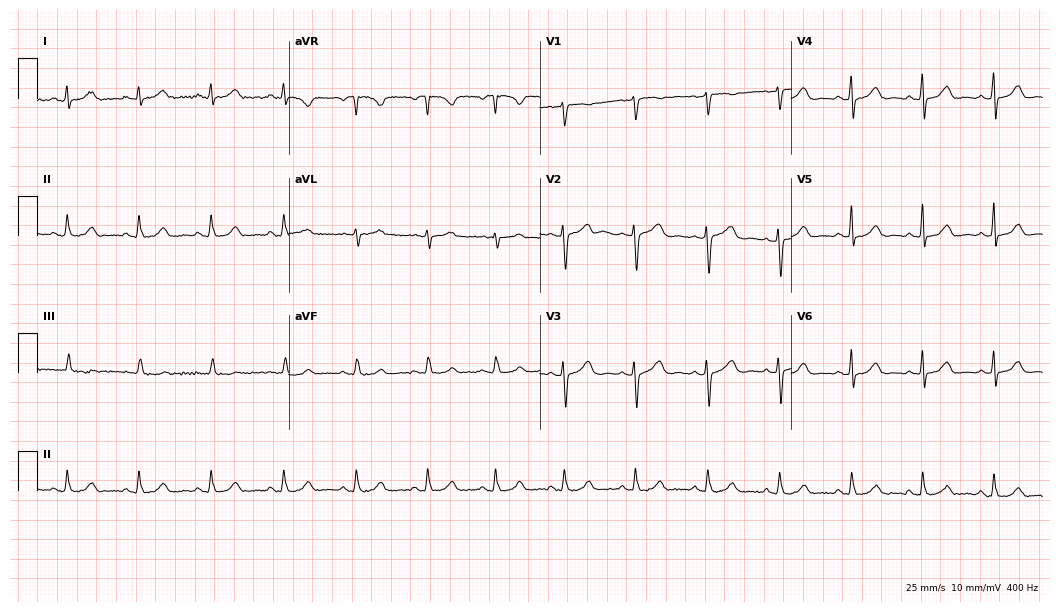
Standard 12-lead ECG recorded from a 52-year-old female (10.2-second recording at 400 Hz). None of these six findings is recorded: first-degree AV block, right bundle branch block, left bundle branch block, sinus bradycardia, atrial fibrillation, sinus tachycardia.